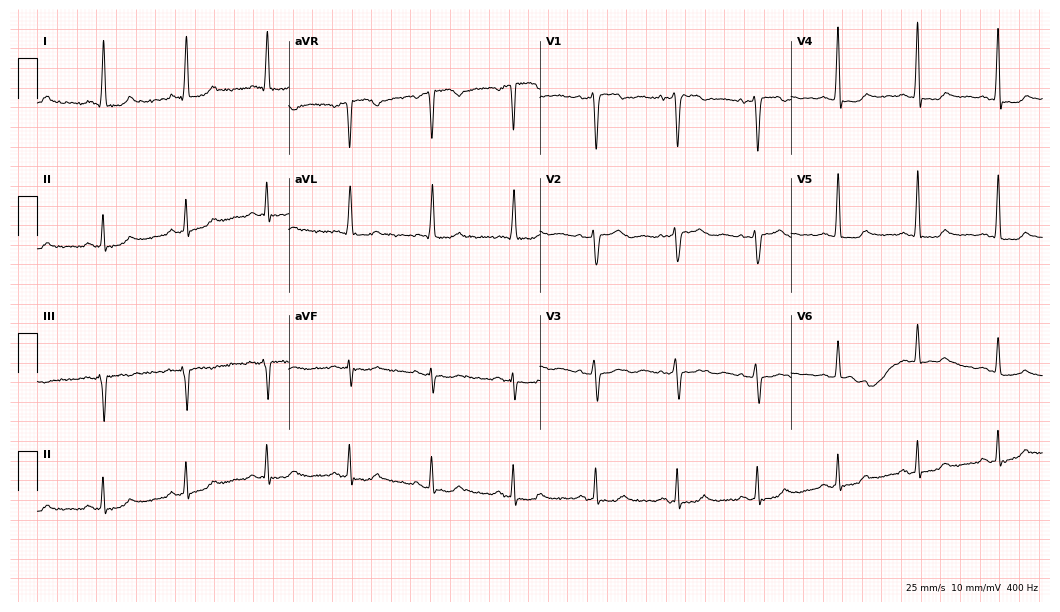
Resting 12-lead electrocardiogram. Patient: a 52-year-old woman. None of these six findings is recorded: first-degree AV block, right bundle branch block, left bundle branch block, sinus bradycardia, atrial fibrillation, sinus tachycardia.